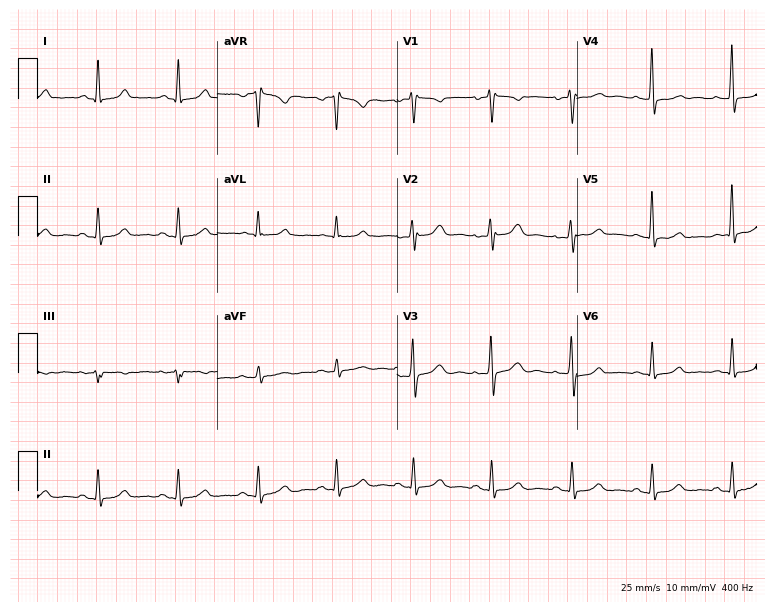
Standard 12-lead ECG recorded from a woman, 48 years old (7.3-second recording at 400 Hz). None of these six findings is recorded: first-degree AV block, right bundle branch block, left bundle branch block, sinus bradycardia, atrial fibrillation, sinus tachycardia. Findings outside these six are not listed.